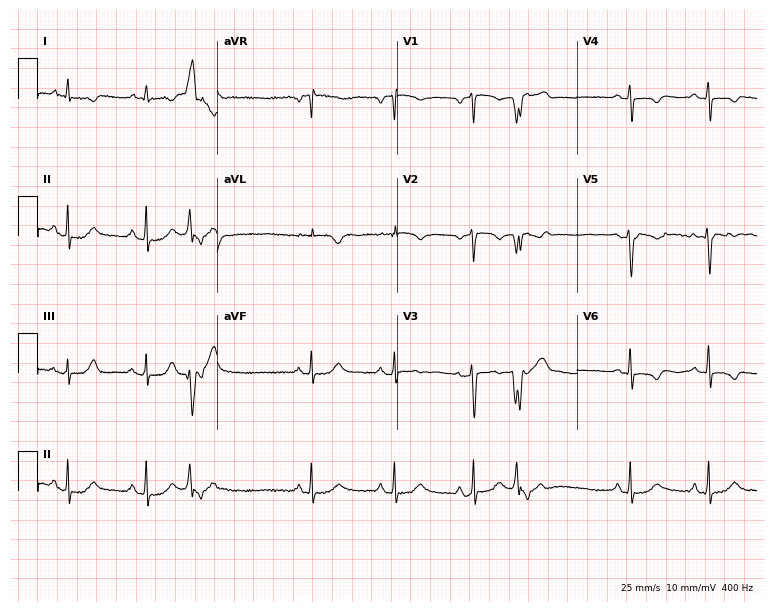
Electrocardiogram, a woman, 78 years old. Of the six screened findings (first-degree AV block, right bundle branch block, left bundle branch block, sinus bradycardia, atrial fibrillation, sinus tachycardia), none is recorded. Other findings, if any, are not listed.